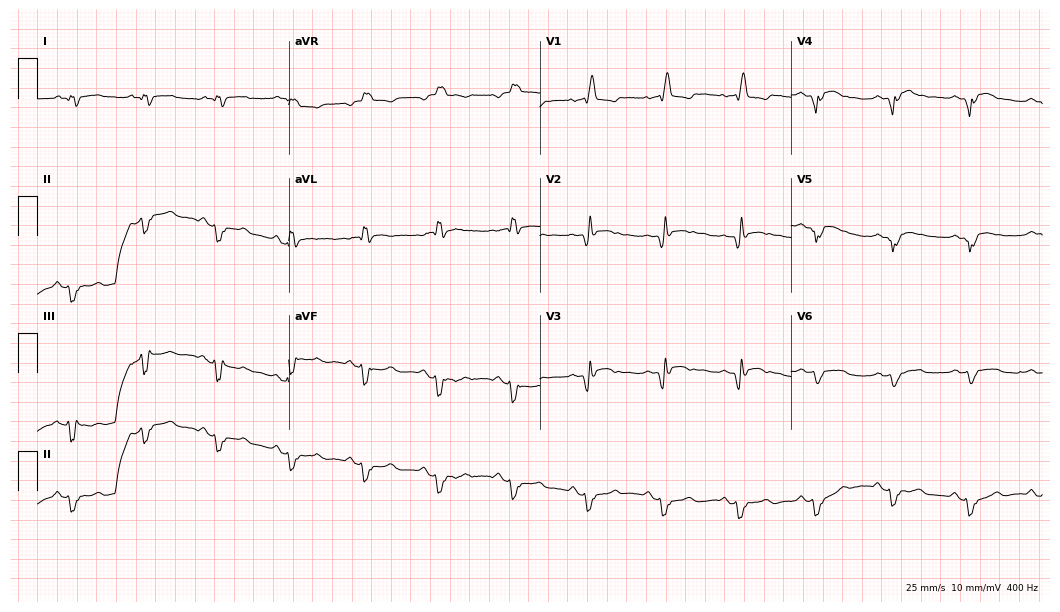
ECG — an 82-year-old man. Findings include right bundle branch block.